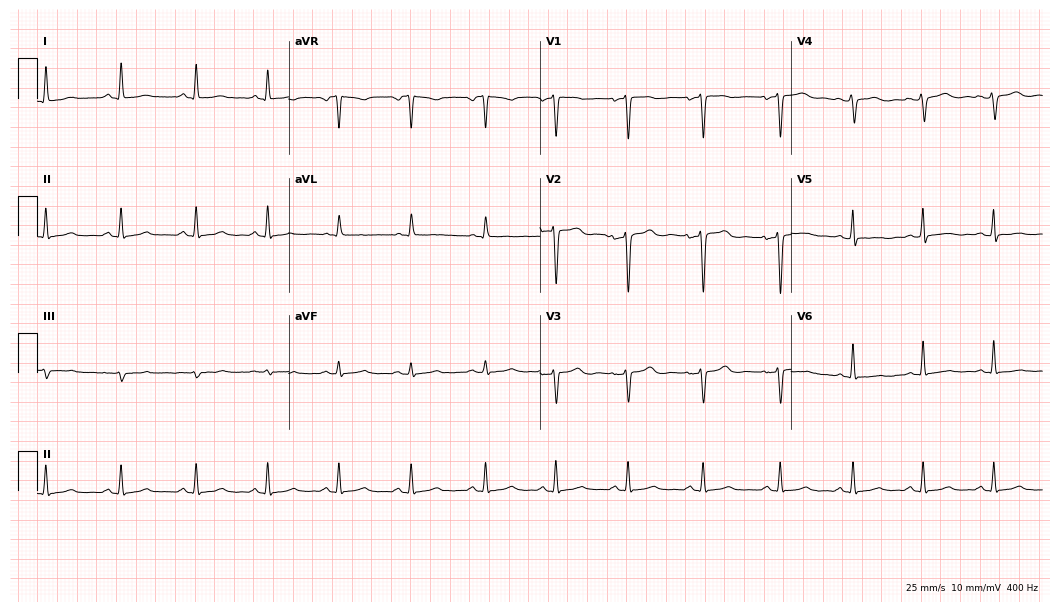
ECG (10.2-second recording at 400 Hz) — a 39-year-old female. Labelled as a normal ECG.